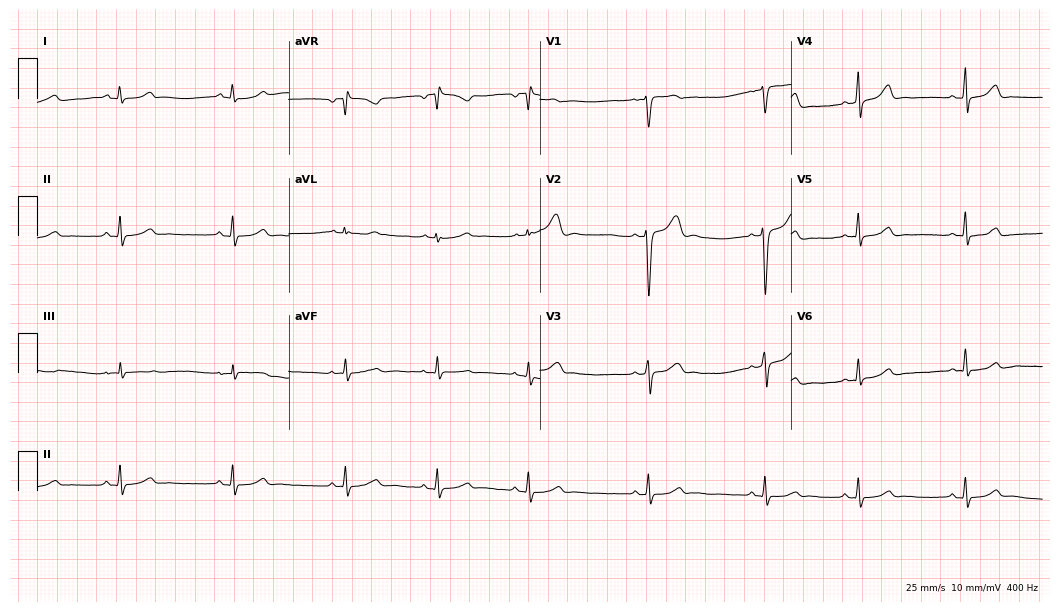
ECG — a woman, 23 years old. Labelled as a normal ECG.